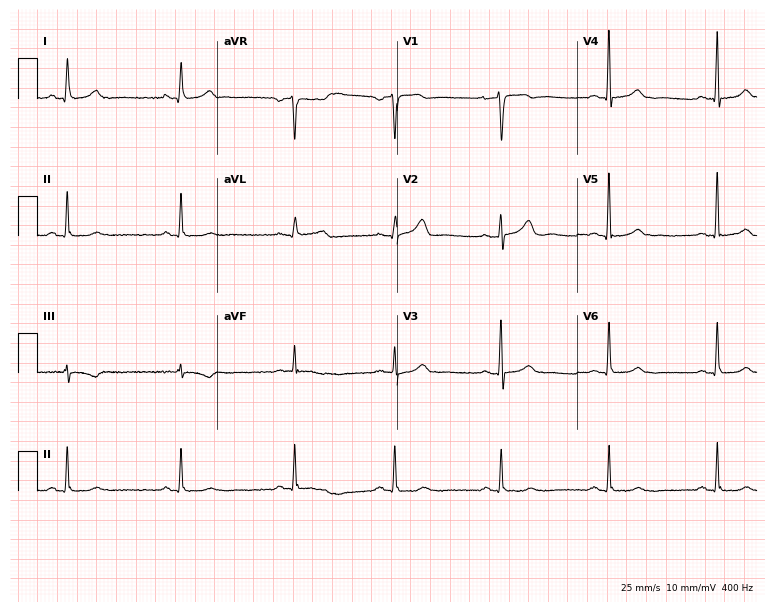
12-lead ECG (7.3-second recording at 400 Hz) from a woman, 51 years old. Screened for six findings — first-degree AV block, right bundle branch block, left bundle branch block, sinus bradycardia, atrial fibrillation, sinus tachycardia — none is recorded.